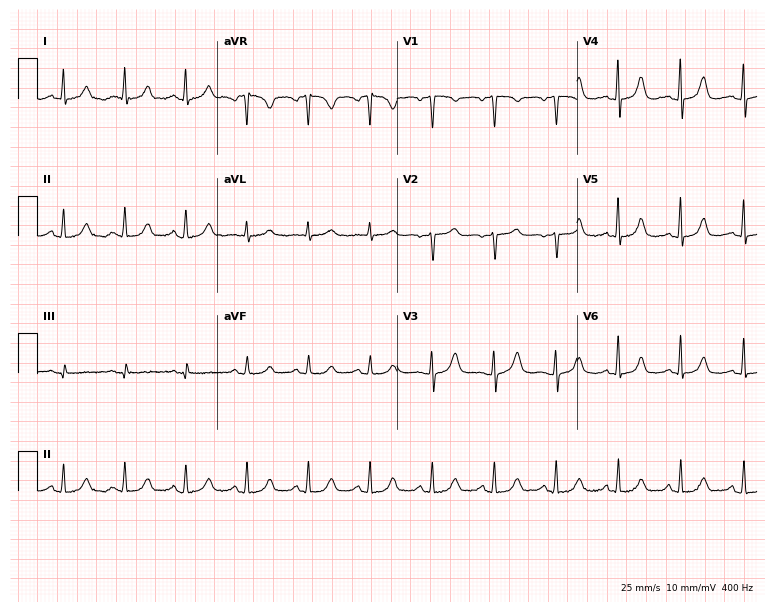
ECG — a female, 70 years old. Labelled as a normal ECG.